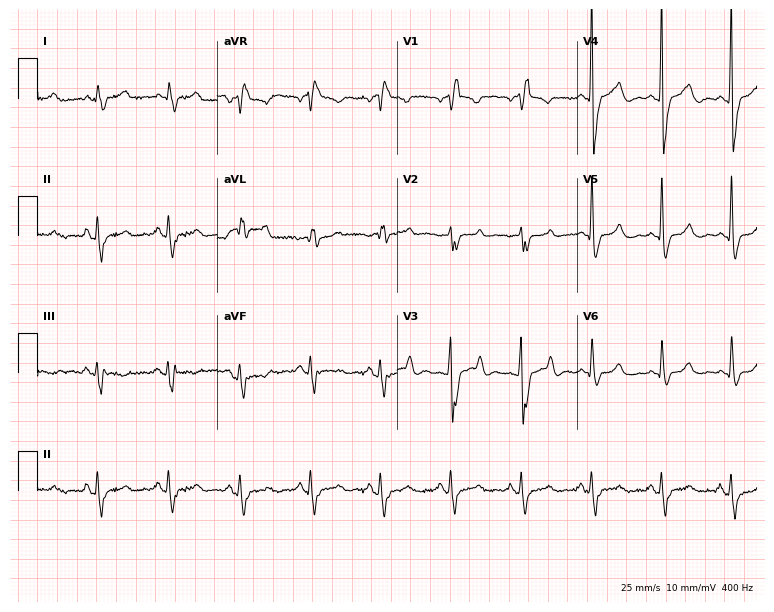
Electrocardiogram, a female patient, 57 years old. Interpretation includes right bundle branch block (RBBB).